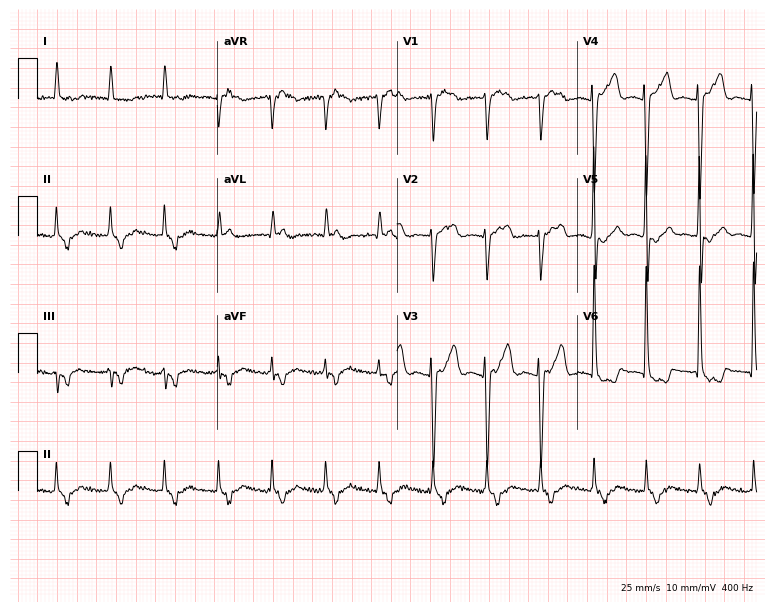
12-lead ECG from a 29-year-old female. Findings include sinus tachycardia (a sinus rate of 100 beats per minute or more).